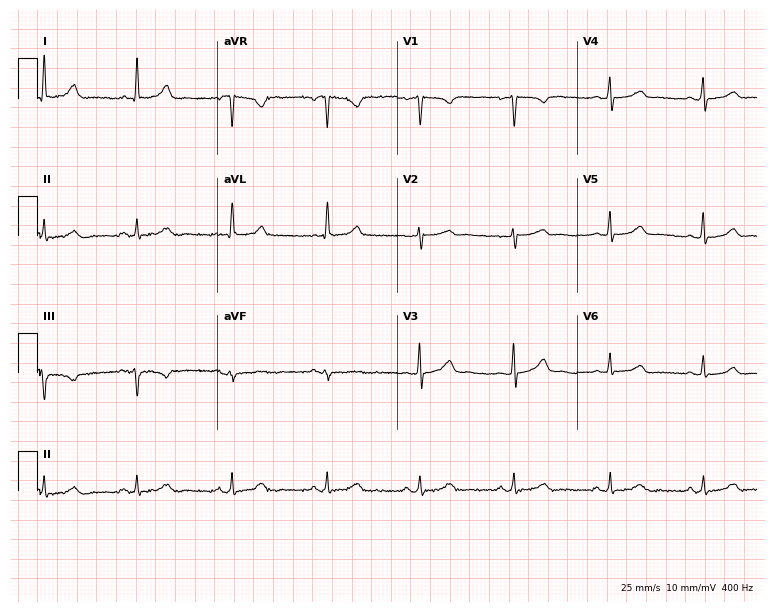
Resting 12-lead electrocardiogram (7.3-second recording at 400 Hz). Patient: a woman, 48 years old. Read as a normal ECG.